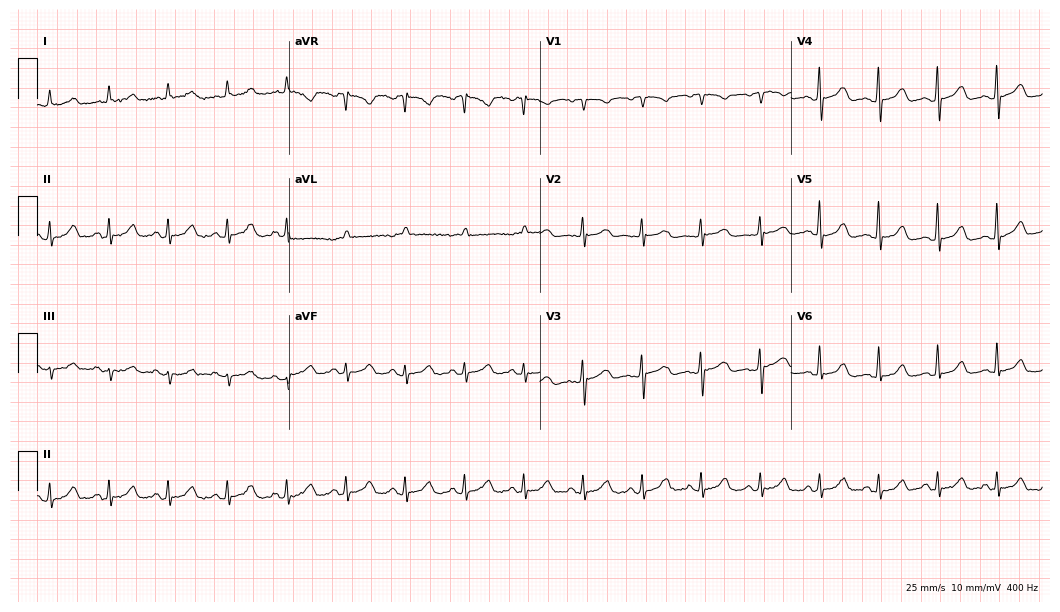
Standard 12-lead ECG recorded from a 71-year-old female patient. Read as a normal ECG.